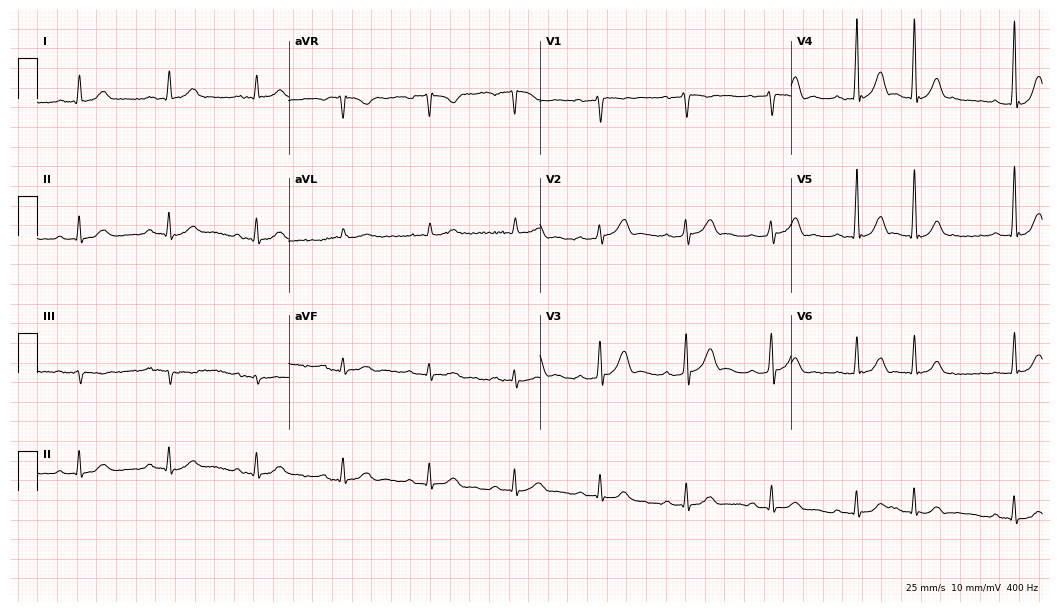
Standard 12-lead ECG recorded from an 81-year-old male (10.2-second recording at 400 Hz). The tracing shows first-degree AV block.